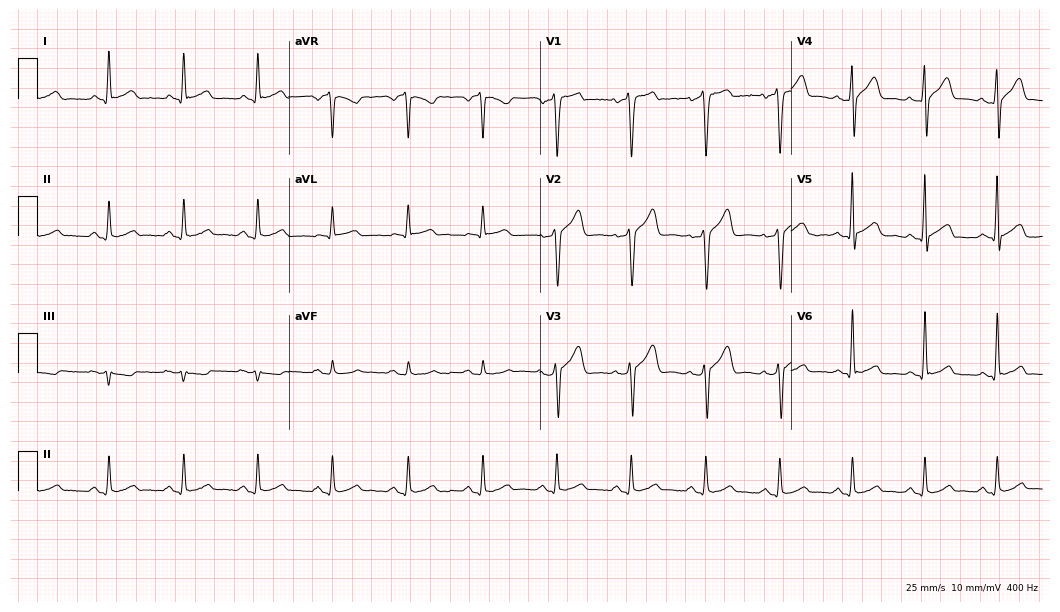
ECG — a 42-year-old male patient. Labelled as a normal ECG.